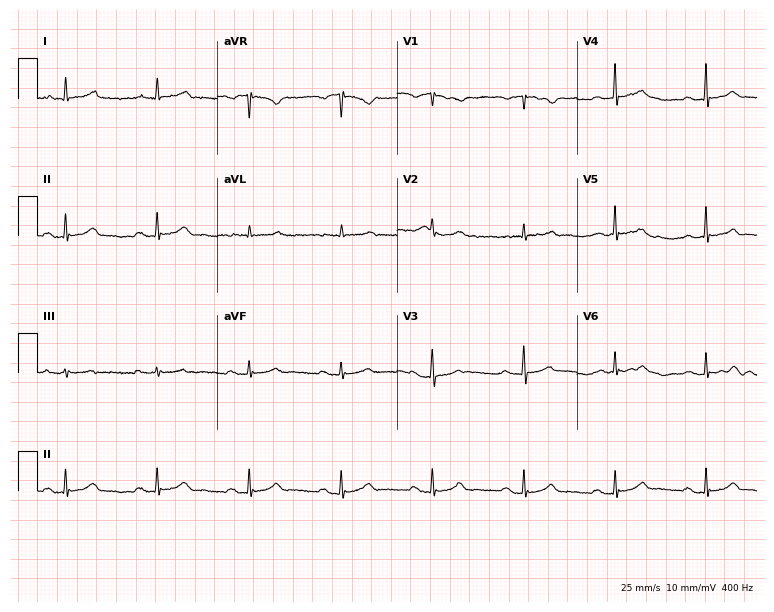
Resting 12-lead electrocardiogram. Patient: an 82-year-old male. Read as a normal ECG.